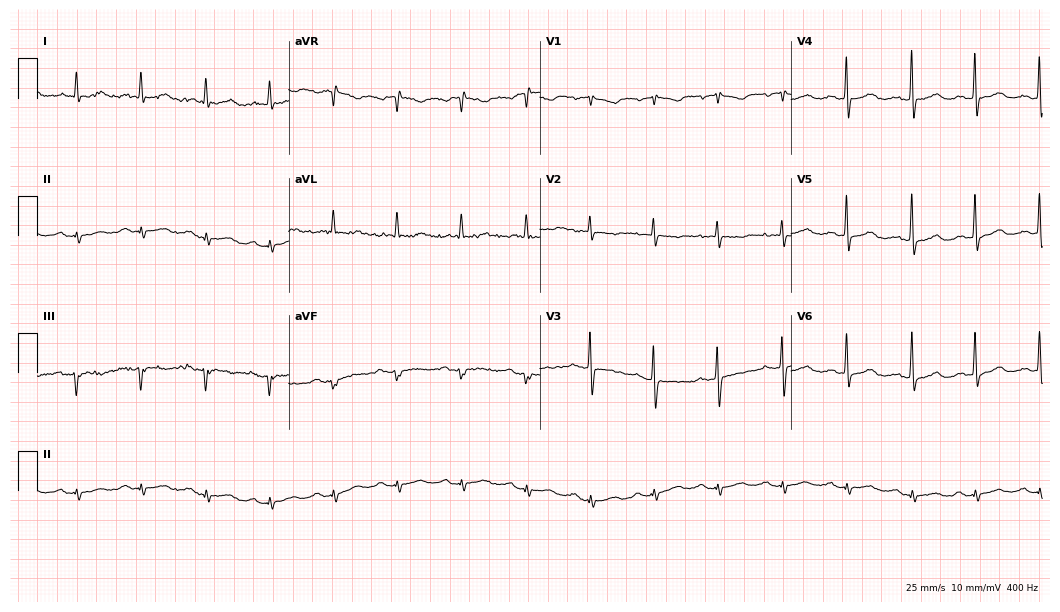
Standard 12-lead ECG recorded from a 71-year-old woman. None of these six findings is recorded: first-degree AV block, right bundle branch block (RBBB), left bundle branch block (LBBB), sinus bradycardia, atrial fibrillation (AF), sinus tachycardia. Only these six findings were labelled.